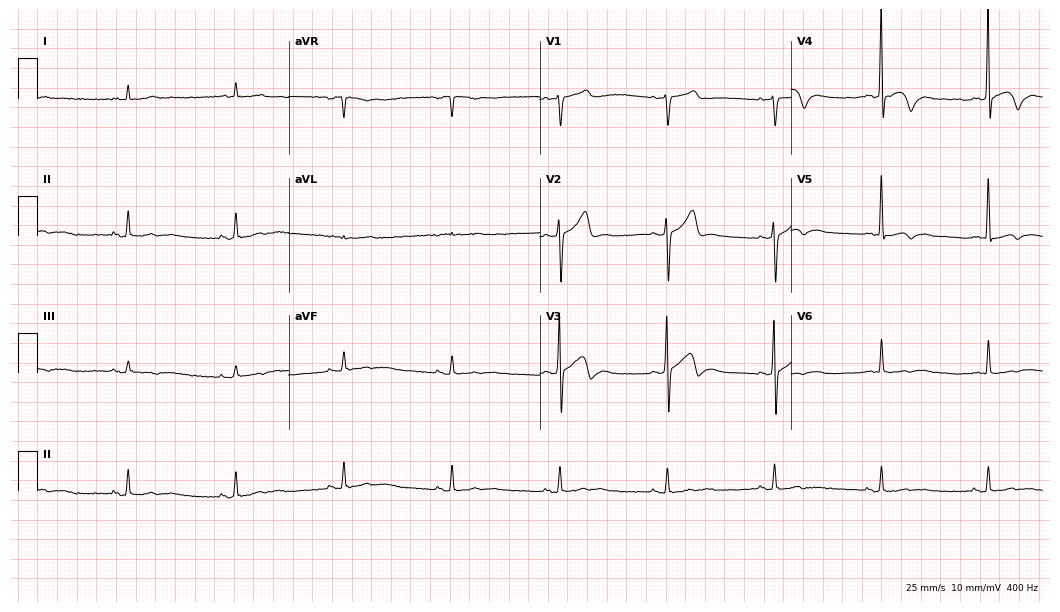
Electrocardiogram (10.2-second recording at 400 Hz), a male, 85 years old. Of the six screened findings (first-degree AV block, right bundle branch block, left bundle branch block, sinus bradycardia, atrial fibrillation, sinus tachycardia), none is recorded. Other findings, if any, are not listed.